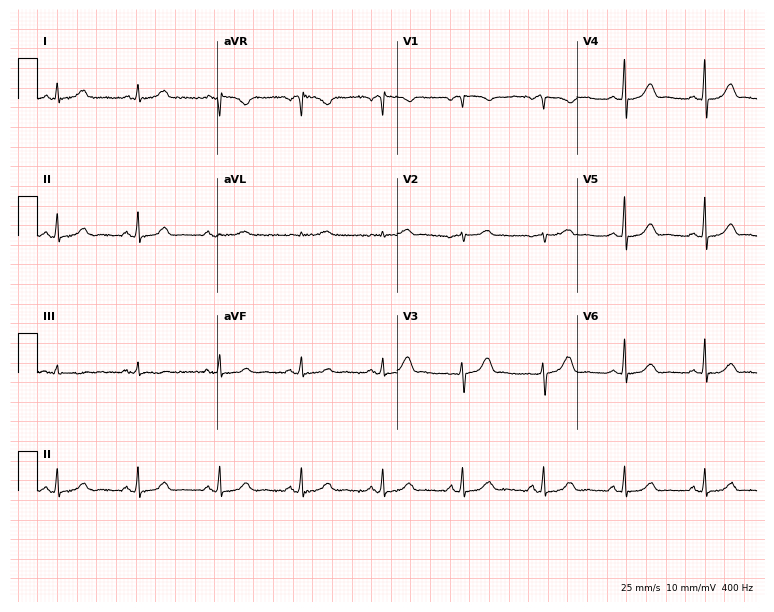
Electrocardiogram (7.3-second recording at 400 Hz), a woman, 56 years old. Overall reading on record: normal ECG.